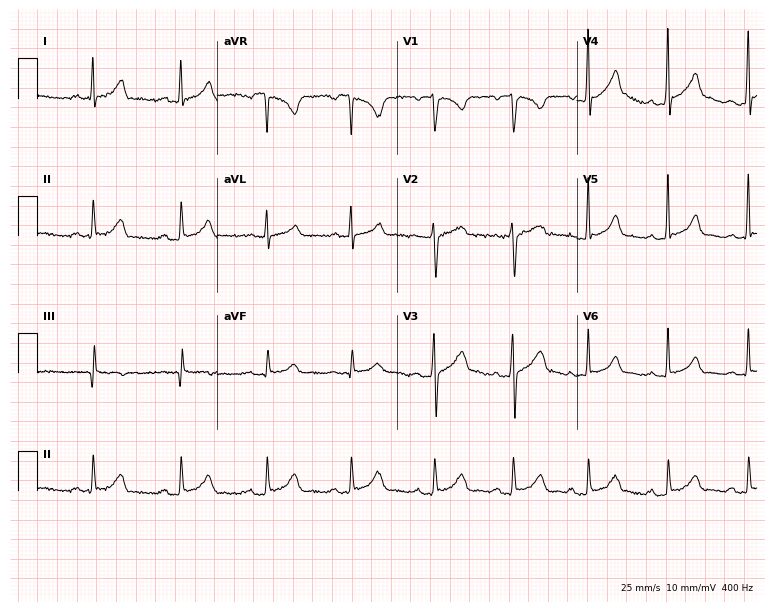
ECG (7.3-second recording at 400 Hz) — a 35-year-old man. Labelled as a normal ECG.